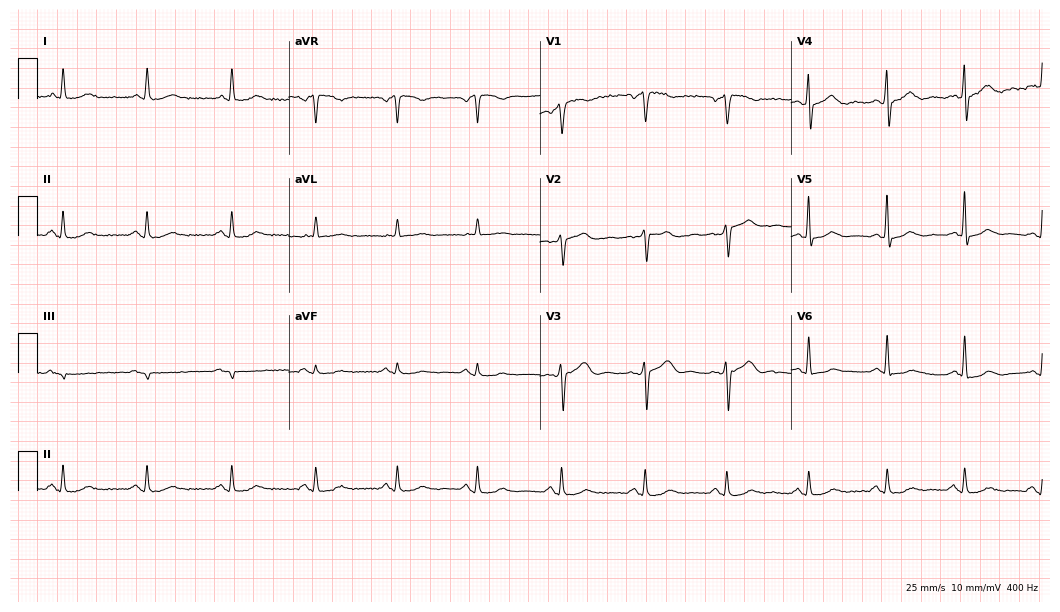
12-lead ECG (10.2-second recording at 400 Hz) from a male, 66 years old. Screened for six findings — first-degree AV block, right bundle branch block, left bundle branch block, sinus bradycardia, atrial fibrillation, sinus tachycardia — none is recorded.